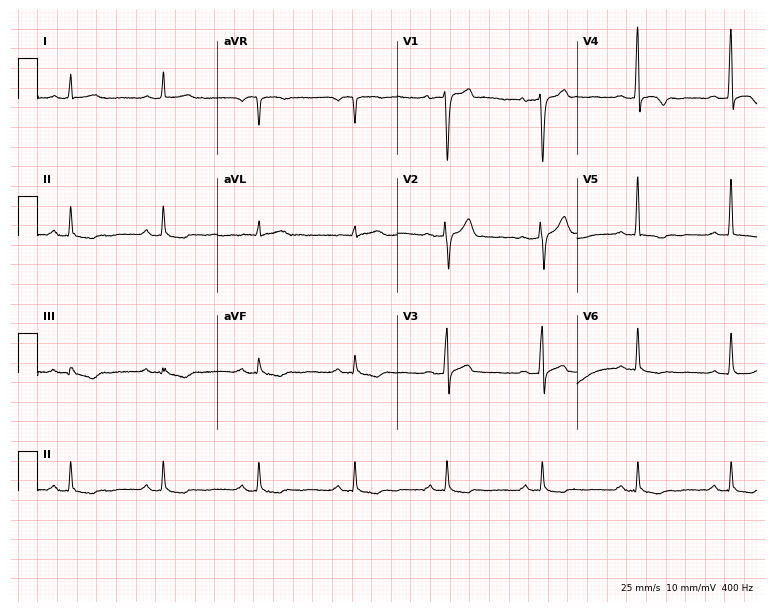
ECG — a 48-year-old man. Screened for six findings — first-degree AV block, right bundle branch block, left bundle branch block, sinus bradycardia, atrial fibrillation, sinus tachycardia — none is recorded. Other findings, if any, are not listed.